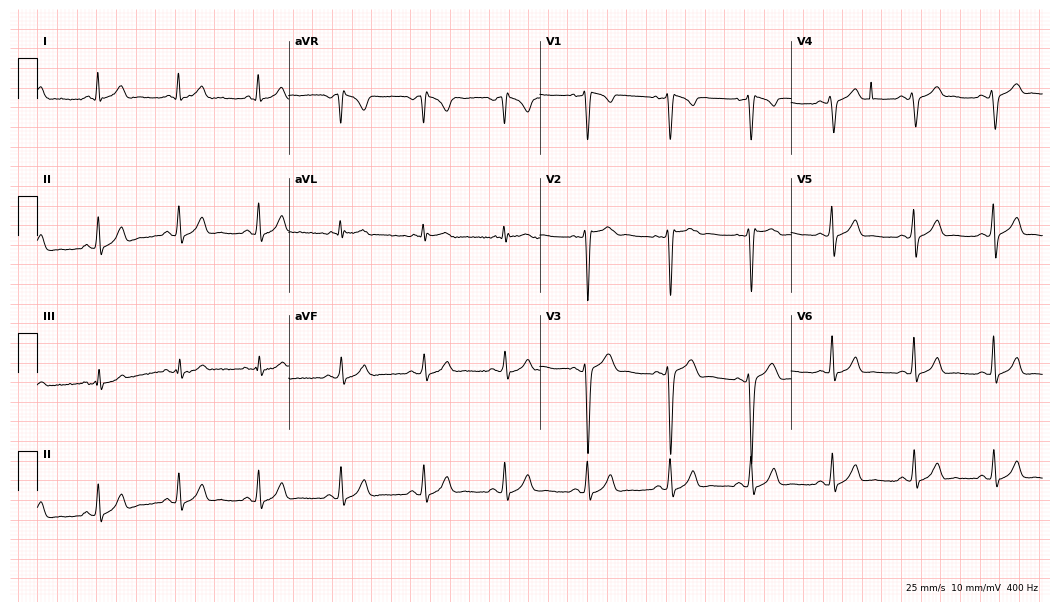
Standard 12-lead ECG recorded from a man, 25 years old (10.2-second recording at 400 Hz). None of these six findings is recorded: first-degree AV block, right bundle branch block (RBBB), left bundle branch block (LBBB), sinus bradycardia, atrial fibrillation (AF), sinus tachycardia. Other findings, if any, are not listed.